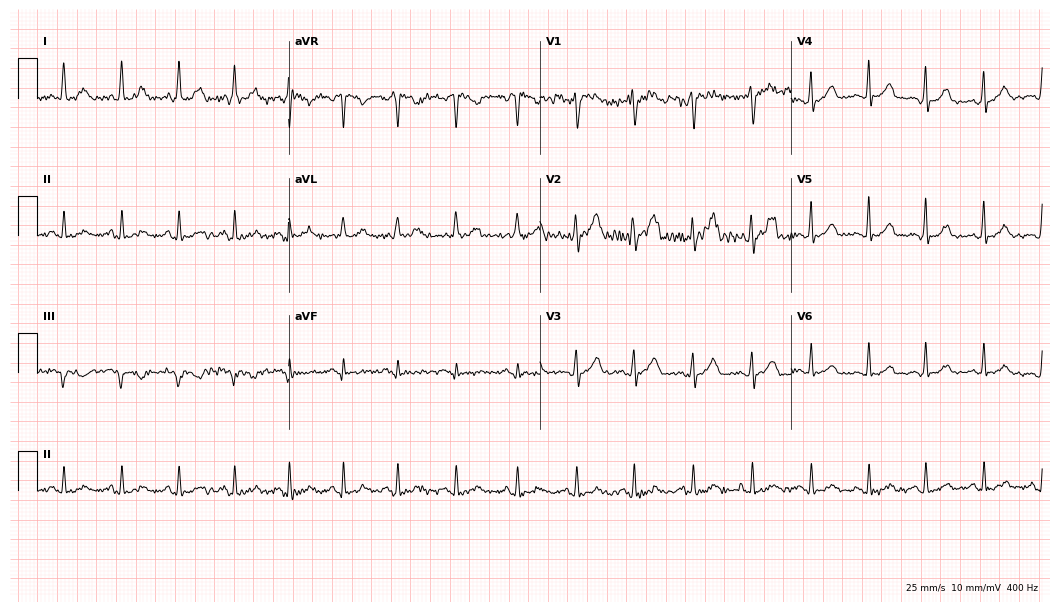
Electrocardiogram, a female, 21 years old. Interpretation includes sinus tachycardia (a sinus rate of 100 beats per minute or more).